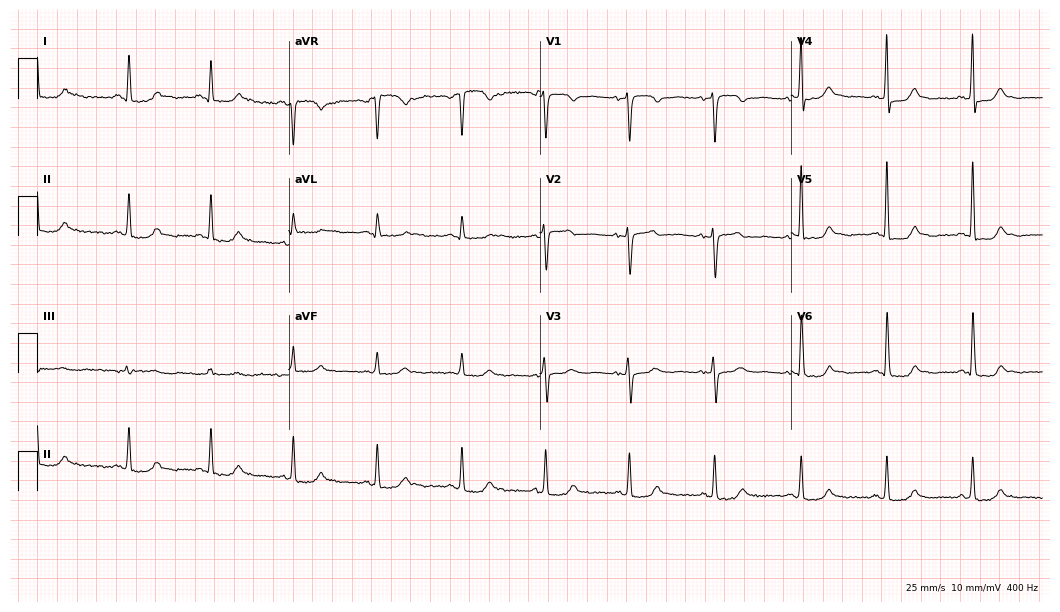
12-lead ECG from a 51-year-old female. Screened for six findings — first-degree AV block, right bundle branch block, left bundle branch block, sinus bradycardia, atrial fibrillation, sinus tachycardia — none is recorded.